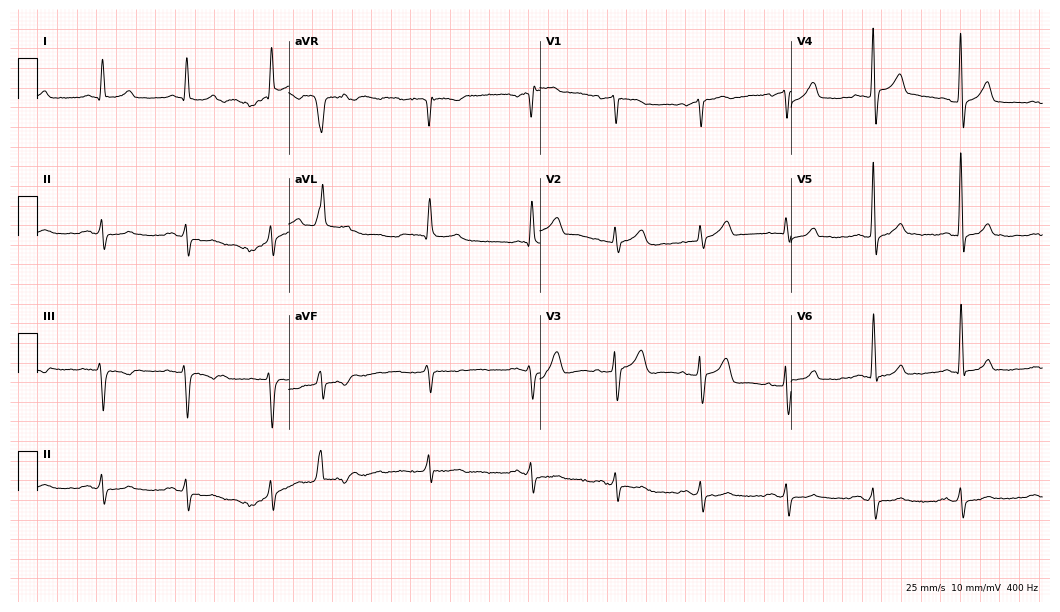
Electrocardiogram, a 78-year-old male patient. Of the six screened findings (first-degree AV block, right bundle branch block, left bundle branch block, sinus bradycardia, atrial fibrillation, sinus tachycardia), none is recorded.